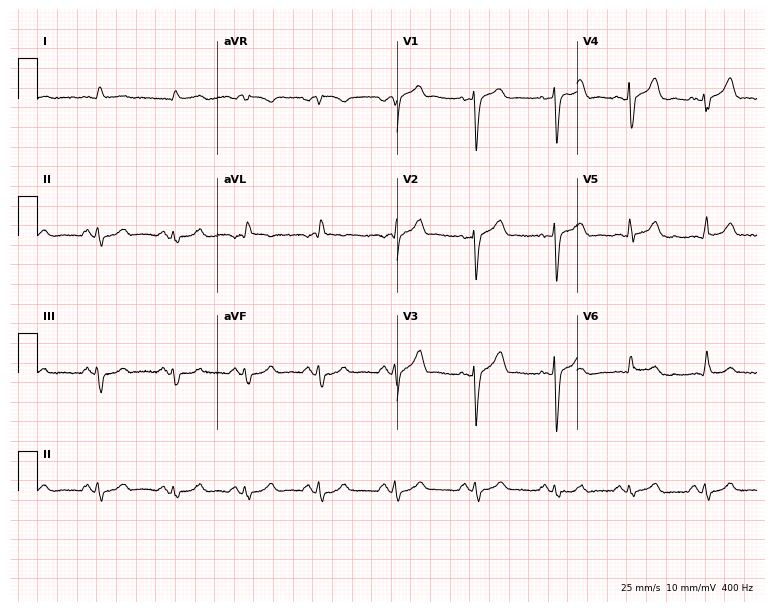
Resting 12-lead electrocardiogram (7.3-second recording at 400 Hz). Patient: a male, 77 years old. Read as a normal ECG.